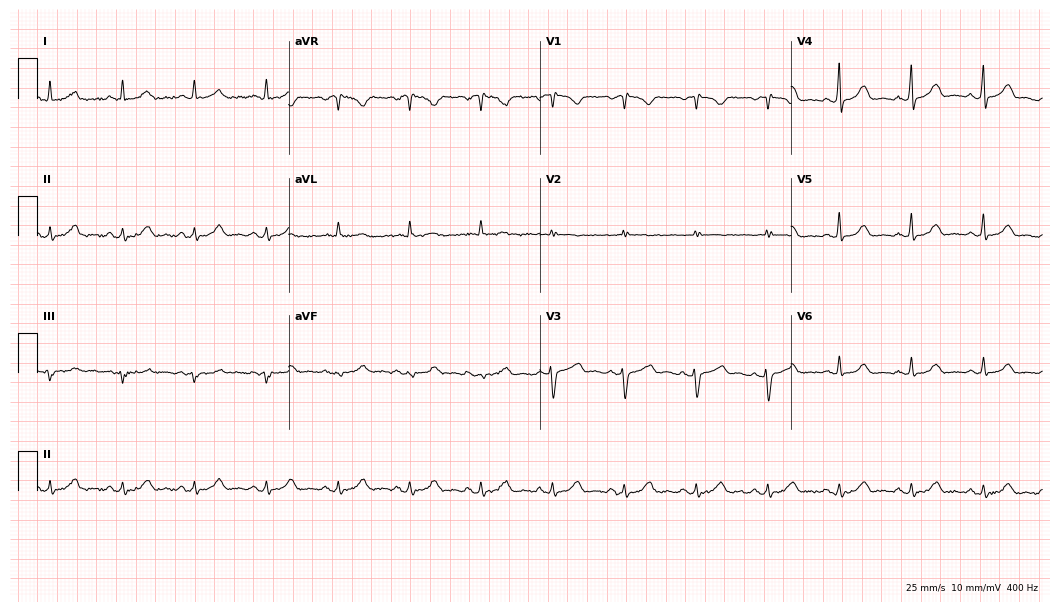
Resting 12-lead electrocardiogram. Patient: a woman, 41 years old. Read as a normal ECG.